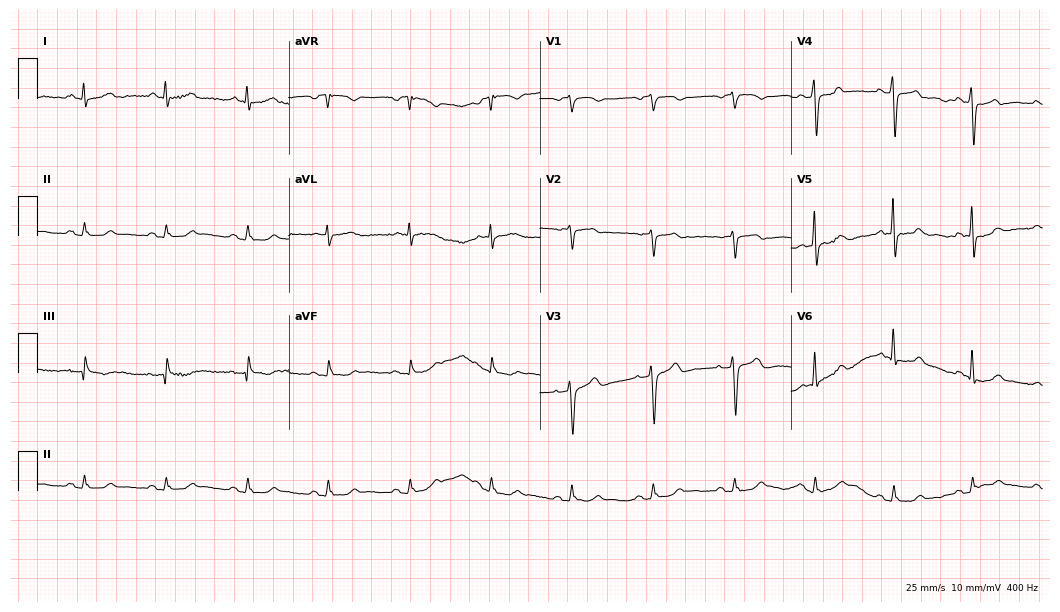
ECG (10.2-second recording at 400 Hz) — a 60-year-old female. Labelled as a normal ECG.